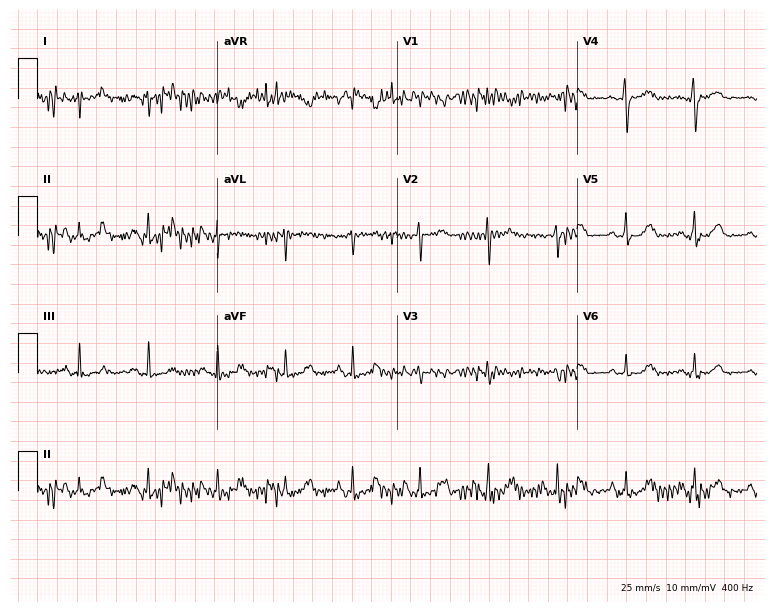
Electrocardiogram, a female, 51 years old. Of the six screened findings (first-degree AV block, right bundle branch block, left bundle branch block, sinus bradycardia, atrial fibrillation, sinus tachycardia), none is recorded. Findings outside these six are not listed.